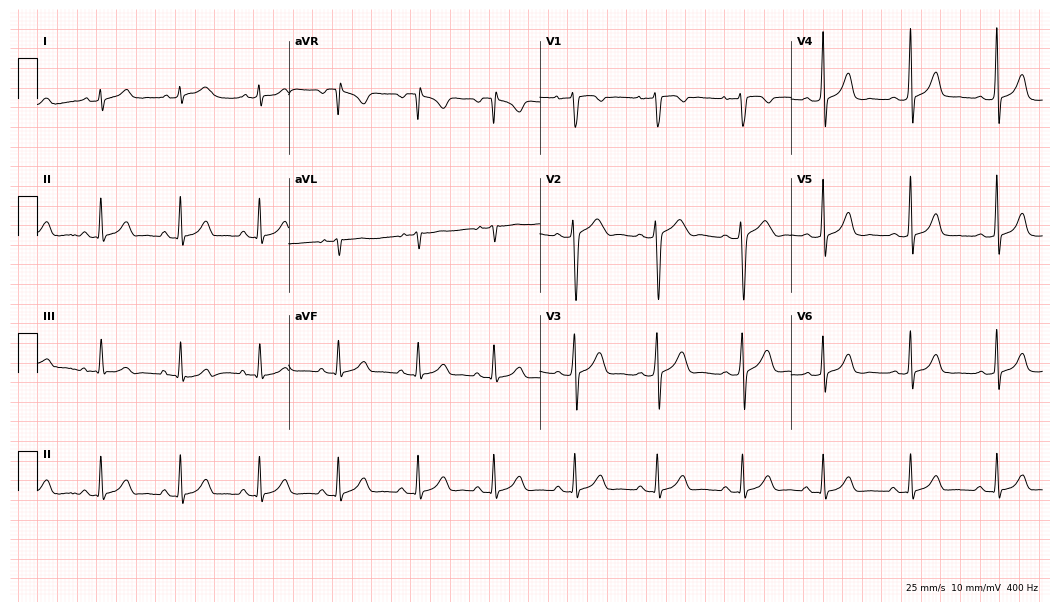
12-lead ECG from a 27-year-old female. Labelled as a normal ECG.